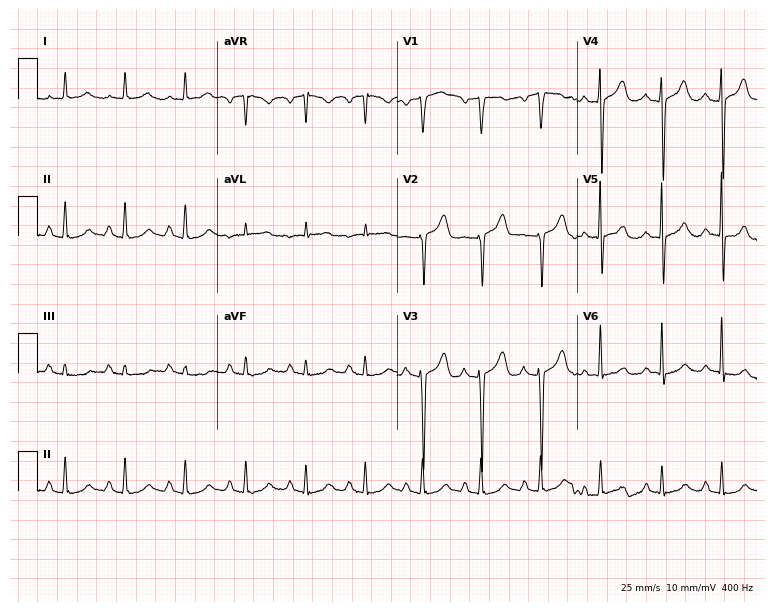
Resting 12-lead electrocardiogram (7.3-second recording at 400 Hz). Patient: a female, 75 years old. None of these six findings is recorded: first-degree AV block, right bundle branch block, left bundle branch block, sinus bradycardia, atrial fibrillation, sinus tachycardia. Other findings, if any, are not listed.